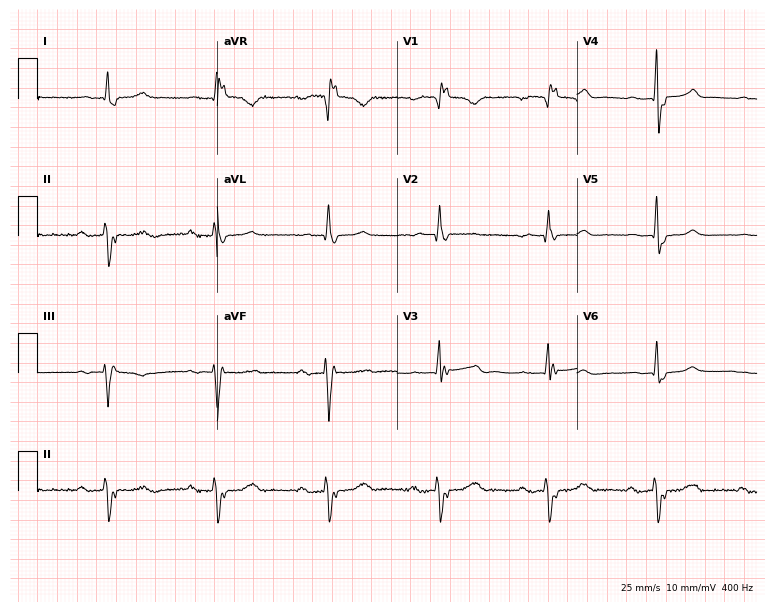
Standard 12-lead ECG recorded from a 57-year-old male. The tracing shows first-degree AV block, right bundle branch block.